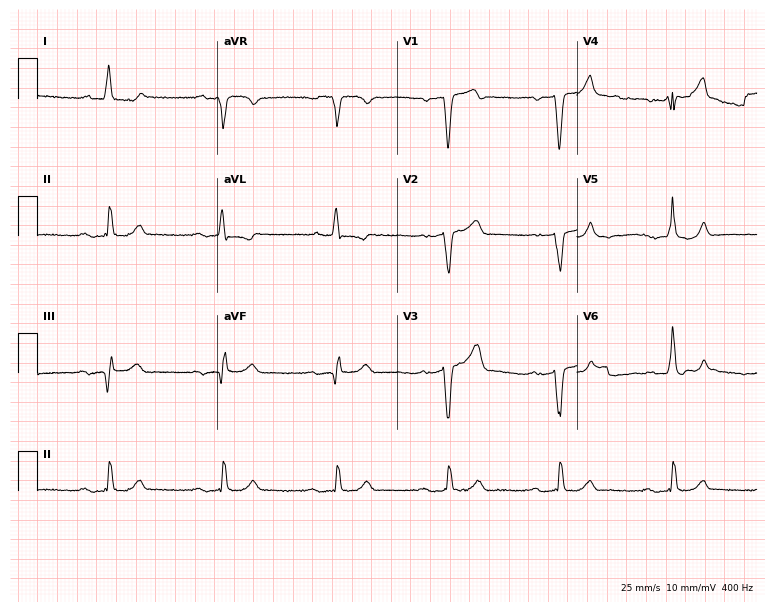
Electrocardiogram (7.3-second recording at 400 Hz), a man, 70 years old. Interpretation includes first-degree AV block.